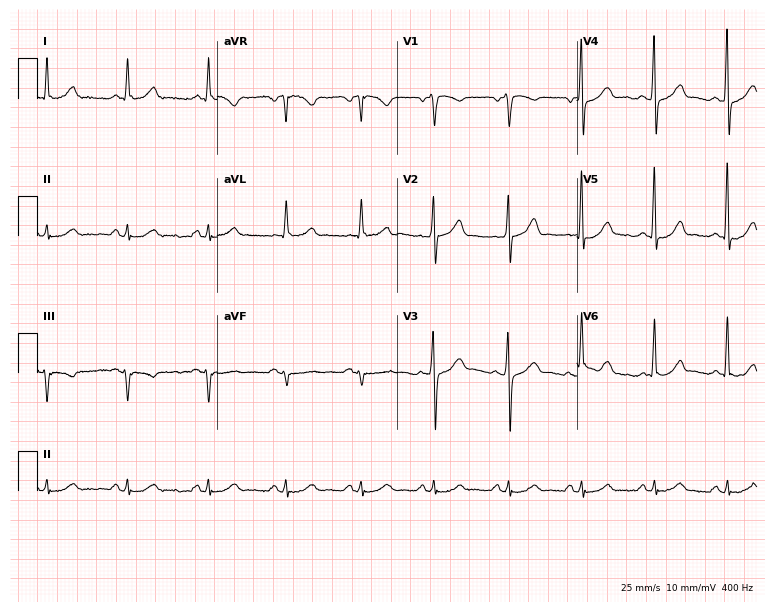
Resting 12-lead electrocardiogram (7.3-second recording at 400 Hz). Patient: a 52-year-old man. Read as a normal ECG.